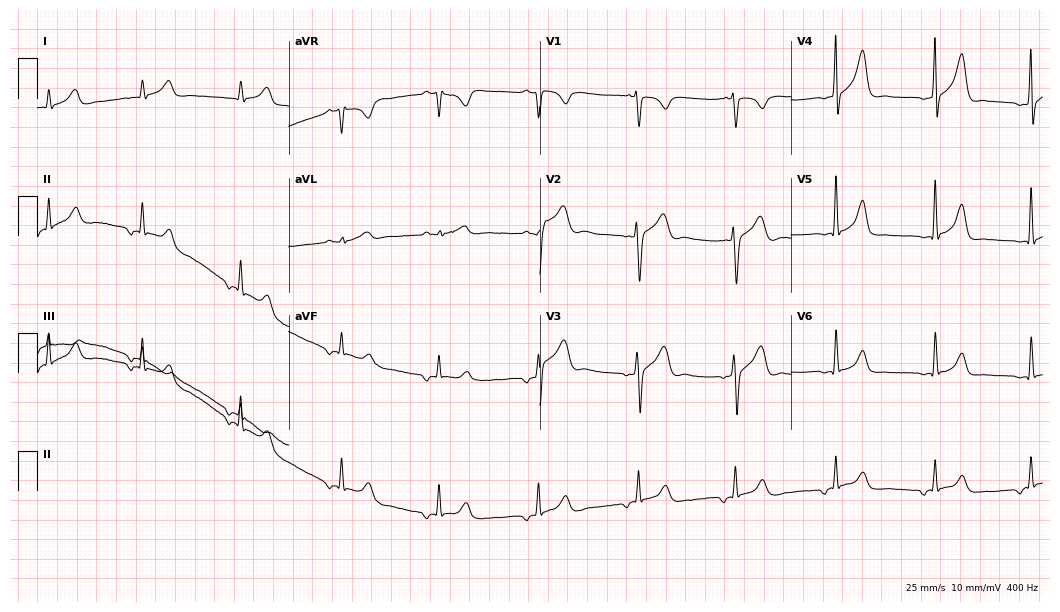
Electrocardiogram, a male, 22 years old. Of the six screened findings (first-degree AV block, right bundle branch block, left bundle branch block, sinus bradycardia, atrial fibrillation, sinus tachycardia), none is recorded. Other findings, if any, are not listed.